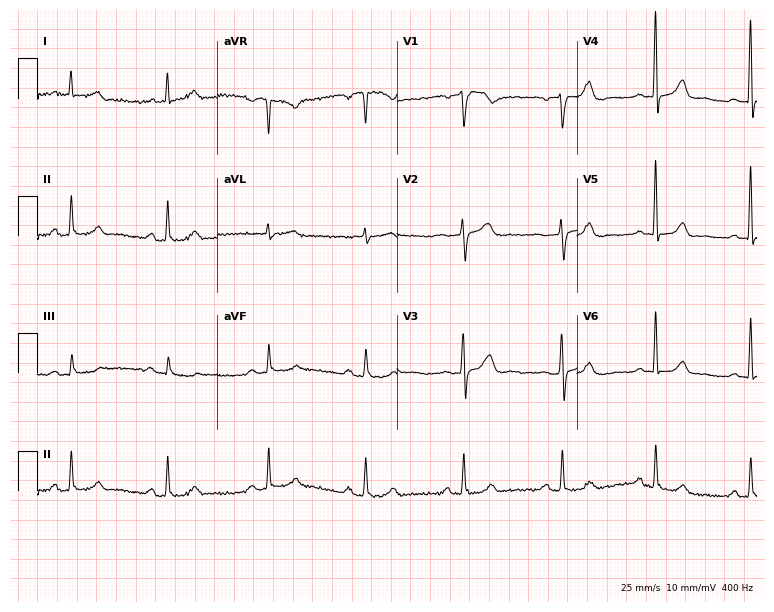
ECG — a 54-year-old woman. Labelled as a normal ECG.